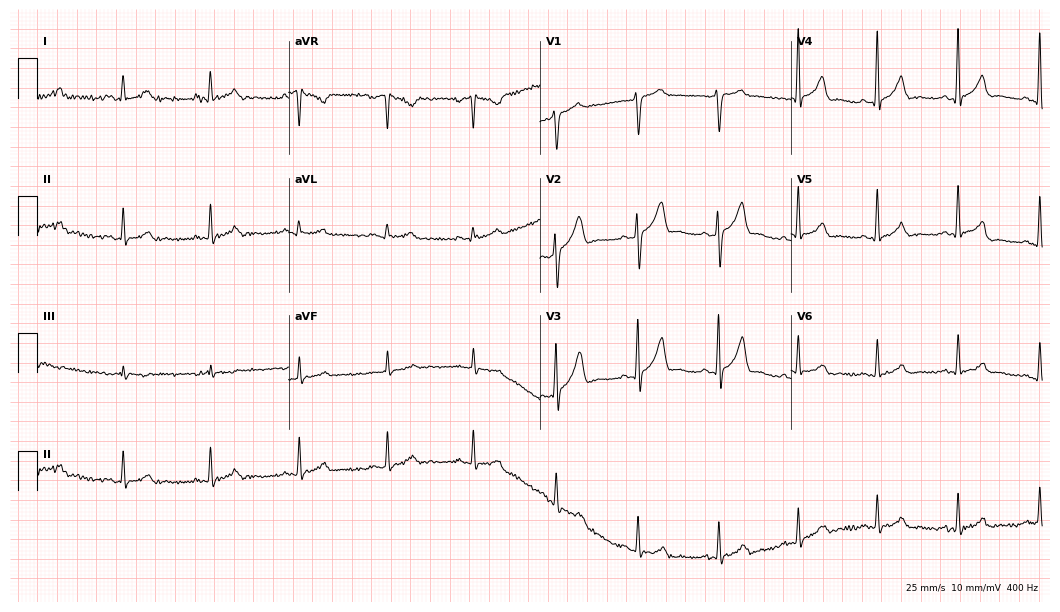
12-lead ECG (10.2-second recording at 400 Hz) from a male, 43 years old. Labelled as a normal ECG.